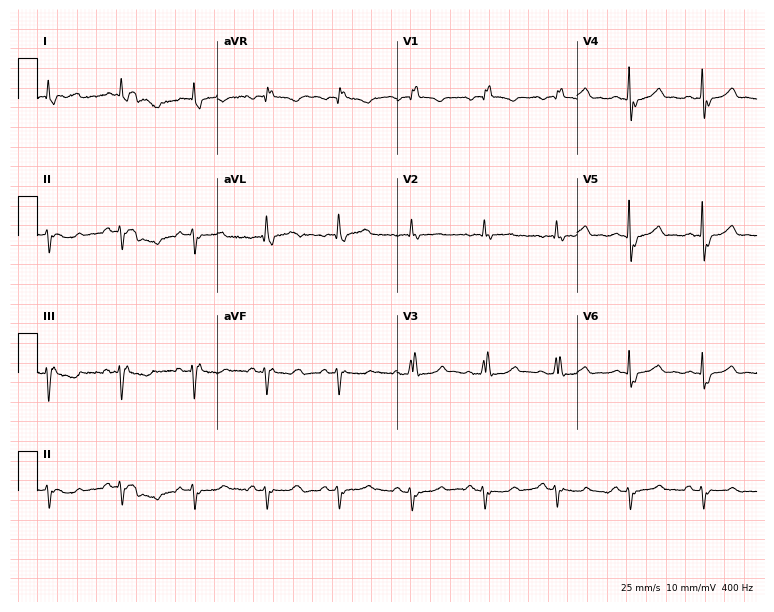
ECG — a female patient, 79 years old. Screened for six findings — first-degree AV block, right bundle branch block, left bundle branch block, sinus bradycardia, atrial fibrillation, sinus tachycardia — none is recorded.